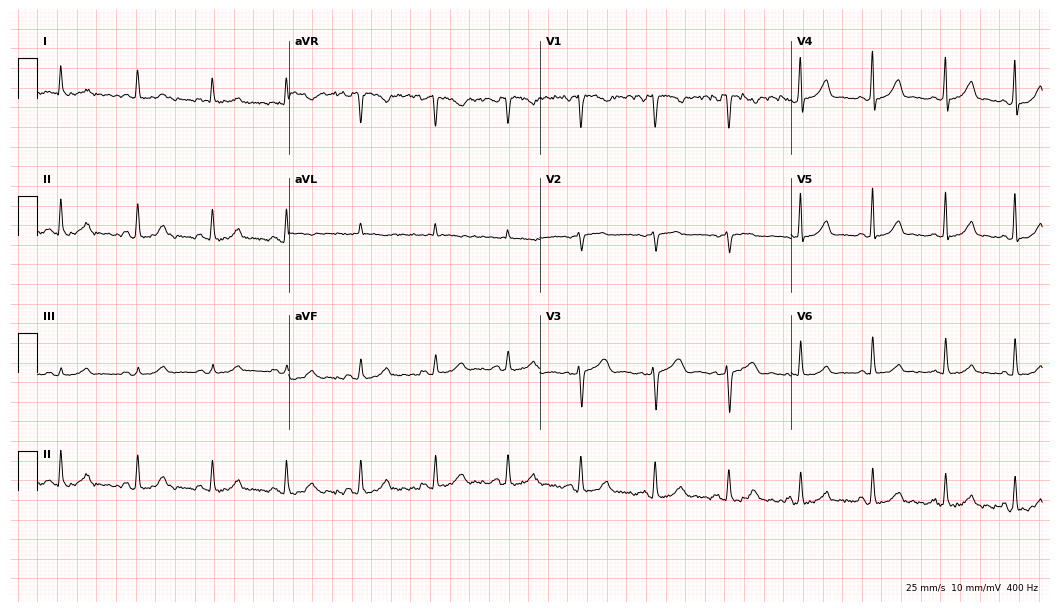
Standard 12-lead ECG recorded from a female patient, 45 years old (10.2-second recording at 400 Hz). None of these six findings is recorded: first-degree AV block, right bundle branch block, left bundle branch block, sinus bradycardia, atrial fibrillation, sinus tachycardia.